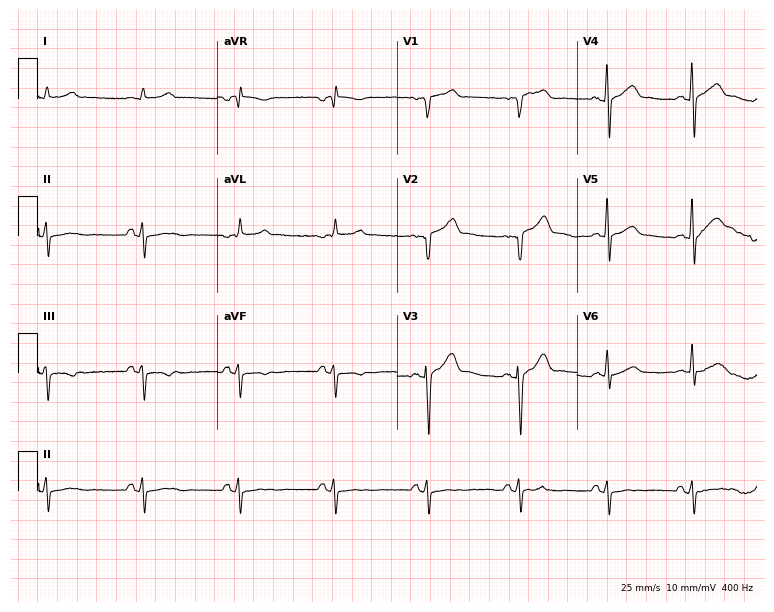
Standard 12-lead ECG recorded from a man, 61 years old (7.3-second recording at 400 Hz). None of these six findings is recorded: first-degree AV block, right bundle branch block (RBBB), left bundle branch block (LBBB), sinus bradycardia, atrial fibrillation (AF), sinus tachycardia.